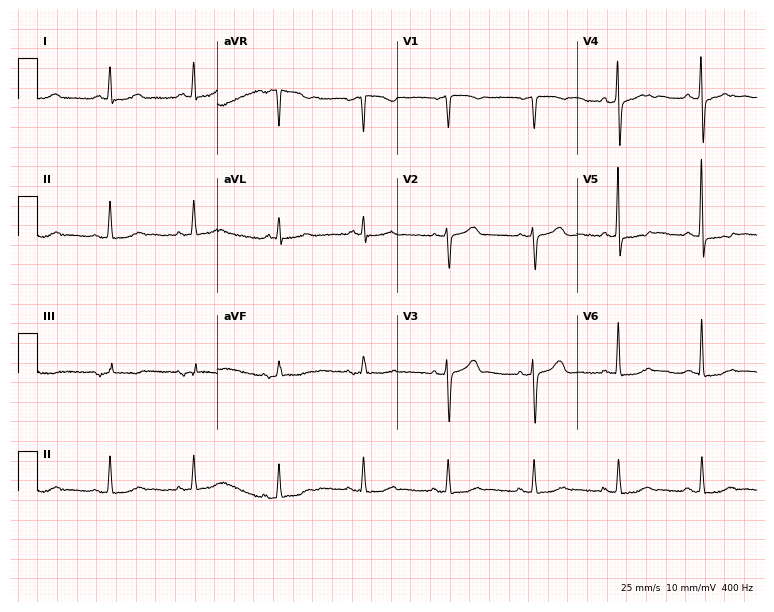
Standard 12-lead ECG recorded from a woman, 73 years old. None of these six findings is recorded: first-degree AV block, right bundle branch block (RBBB), left bundle branch block (LBBB), sinus bradycardia, atrial fibrillation (AF), sinus tachycardia.